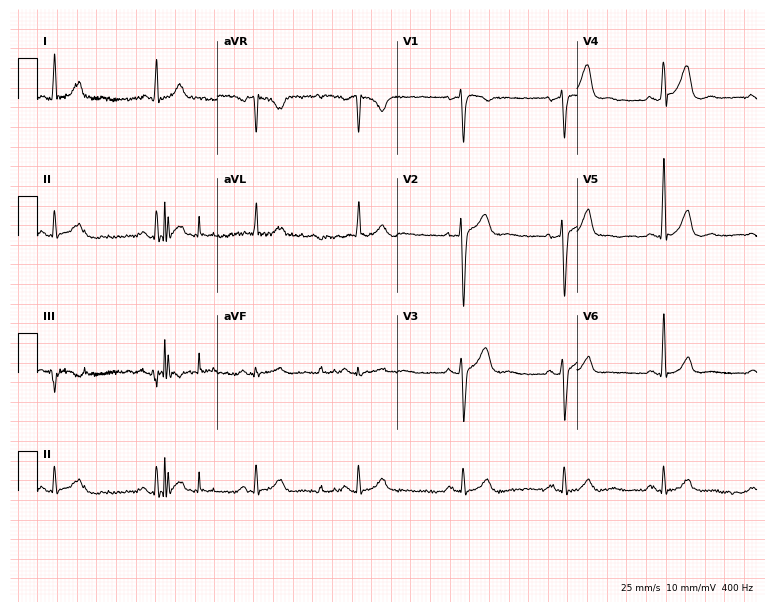
12-lead ECG (7.3-second recording at 400 Hz) from a male patient, 36 years old. Labelled as a normal ECG.